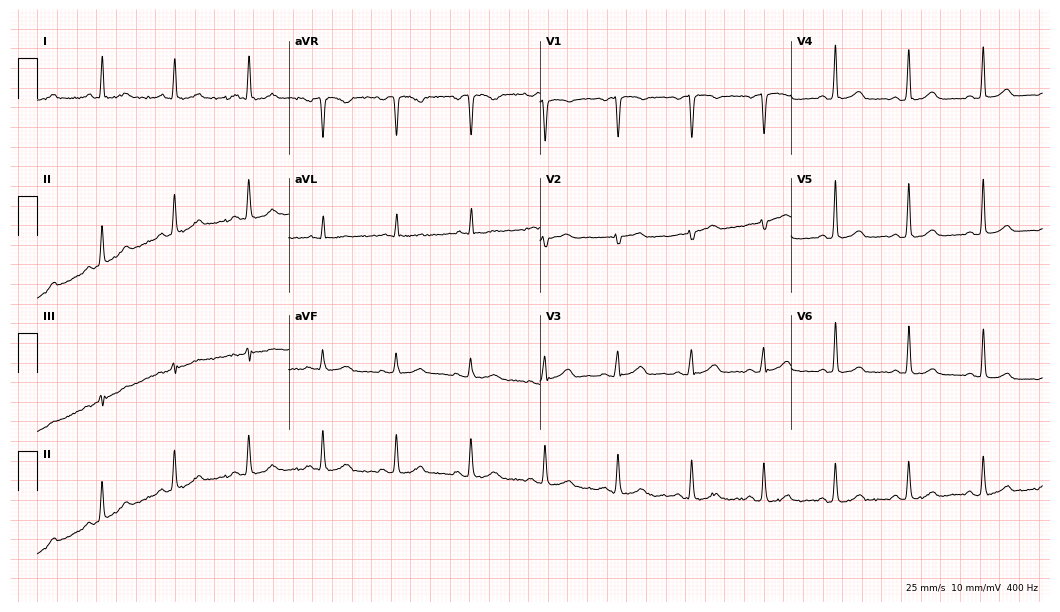
Standard 12-lead ECG recorded from a female patient, 55 years old (10.2-second recording at 400 Hz). Read as a normal ECG.